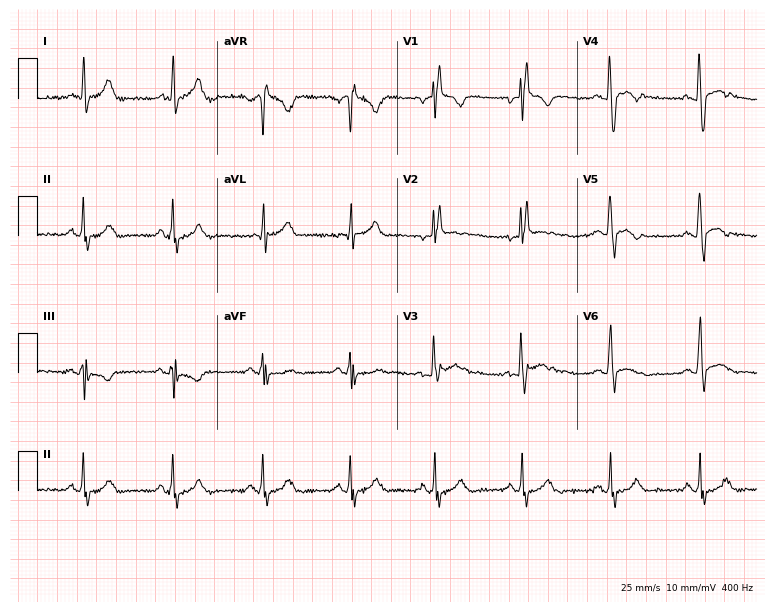
12-lead ECG from a male patient, 34 years old. Findings include right bundle branch block.